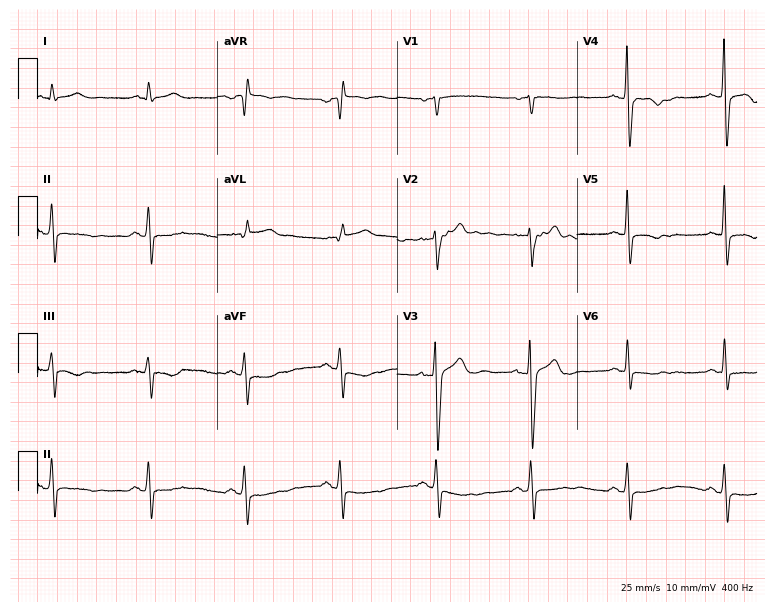
12-lead ECG from a male, 56 years old. No first-degree AV block, right bundle branch block, left bundle branch block, sinus bradycardia, atrial fibrillation or sinus tachycardia recorded for this tracing.